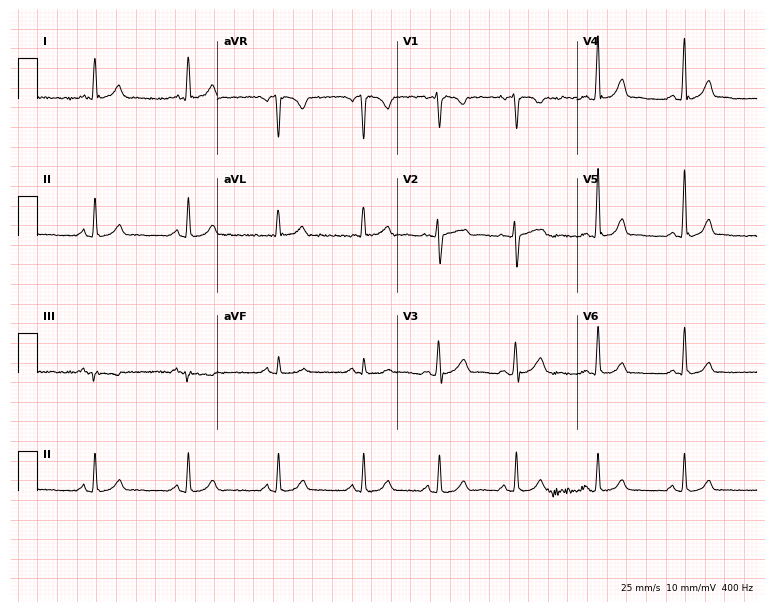
ECG (7.3-second recording at 400 Hz) — a 35-year-old female patient. Screened for six findings — first-degree AV block, right bundle branch block (RBBB), left bundle branch block (LBBB), sinus bradycardia, atrial fibrillation (AF), sinus tachycardia — none is recorded. Only these six findings were labelled.